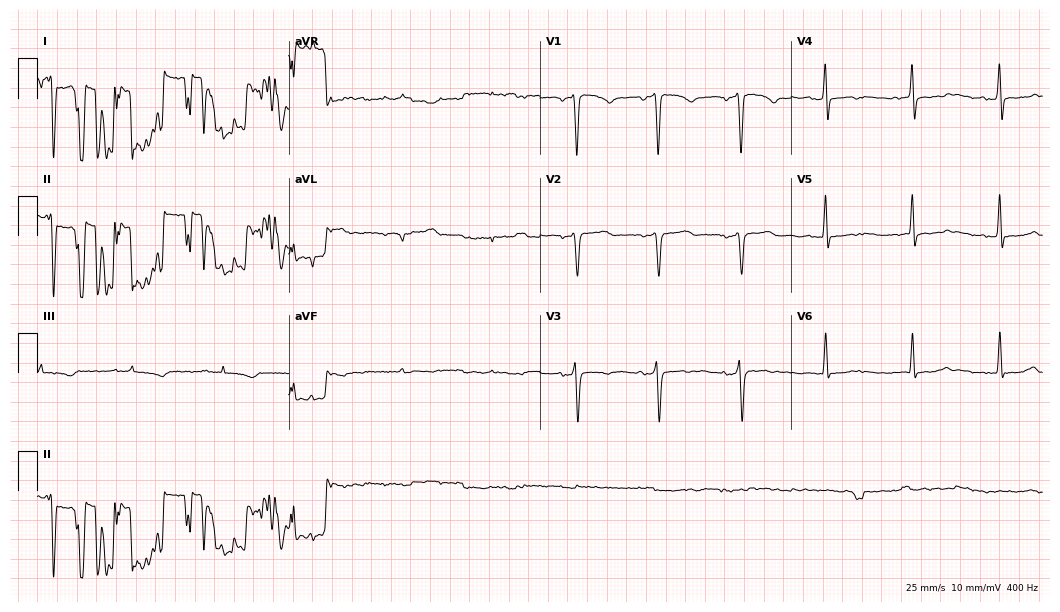
12-lead ECG from a 46-year-old female. Screened for six findings — first-degree AV block, right bundle branch block, left bundle branch block, sinus bradycardia, atrial fibrillation, sinus tachycardia — none is recorded. Only these six findings were labelled.